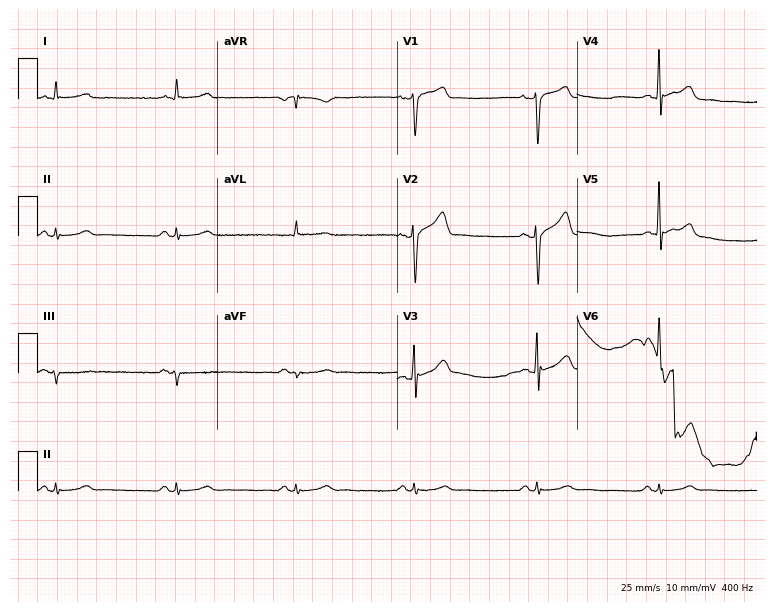
12-lead ECG (7.3-second recording at 400 Hz) from a male patient, 66 years old. Screened for six findings — first-degree AV block, right bundle branch block (RBBB), left bundle branch block (LBBB), sinus bradycardia, atrial fibrillation (AF), sinus tachycardia — none is recorded.